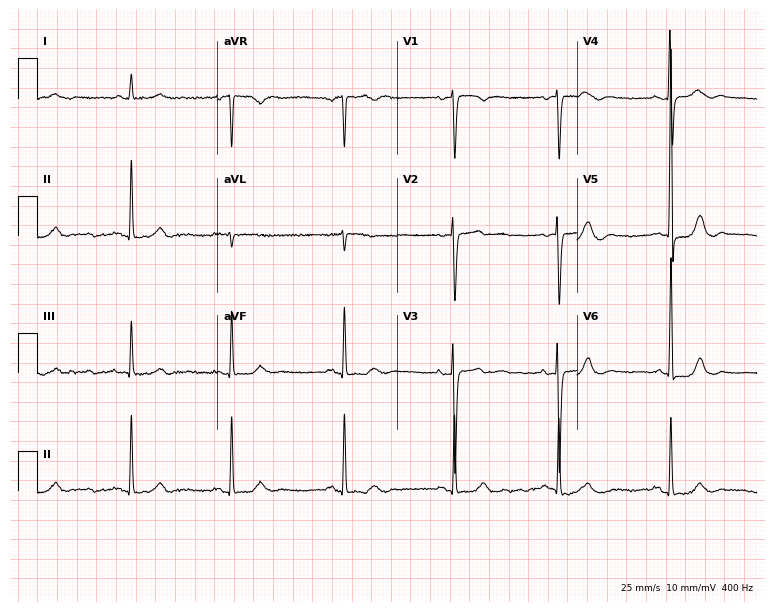
Standard 12-lead ECG recorded from a 70-year-old female patient (7.3-second recording at 400 Hz). Read as a normal ECG.